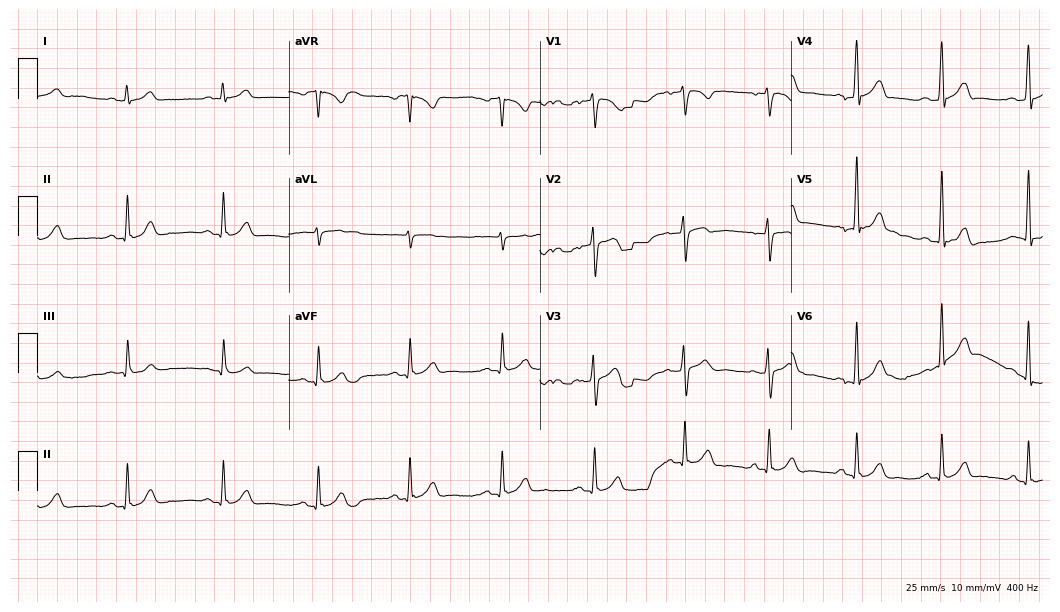
Electrocardiogram, a 50-year-old male. Overall reading on record: normal ECG.